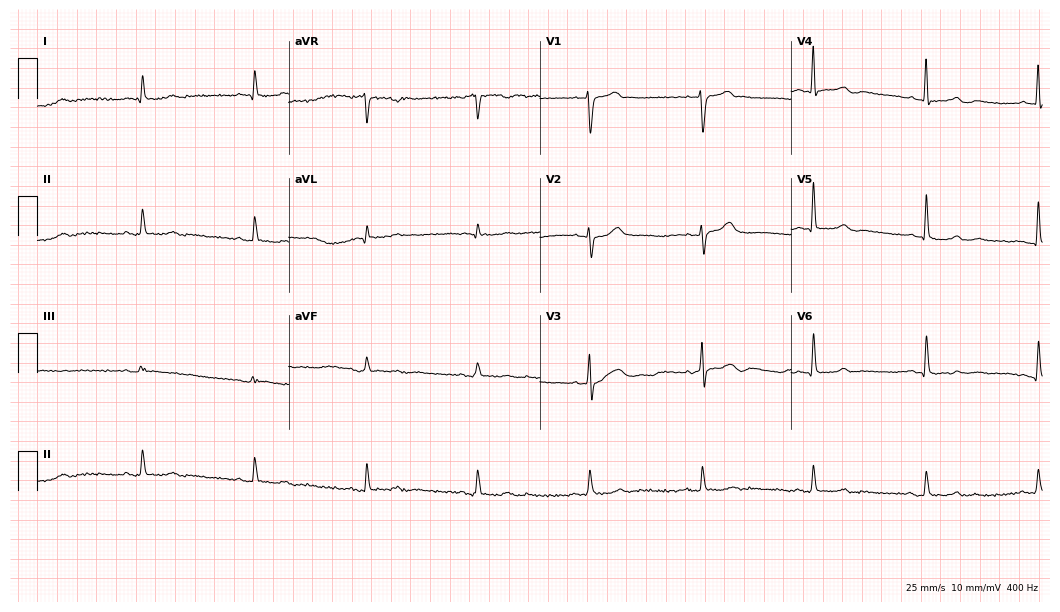
Electrocardiogram (10.2-second recording at 400 Hz), a man, 84 years old. Of the six screened findings (first-degree AV block, right bundle branch block, left bundle branch block, sinus bradycardia, atrial fibrillation, sinus tachycardia), none is recorded.